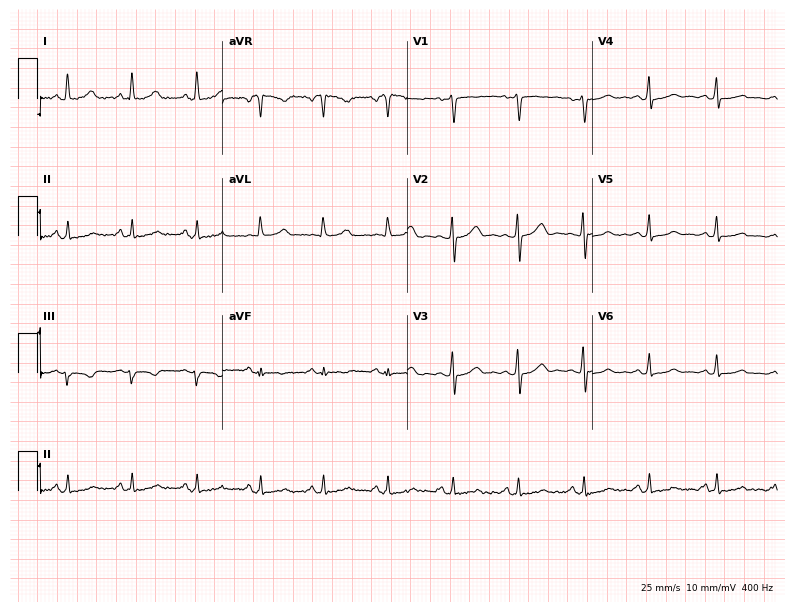
12-lead ECG from a female patient, 46 years old (7.5-second recording at 400 Hz). No first-degree AV block, right bundle branch block, left bundle branch block, sinus bradycardia, atrial fibrillation or sinus tachycardia recorded for this tracing. Findings outside these six are not listed.